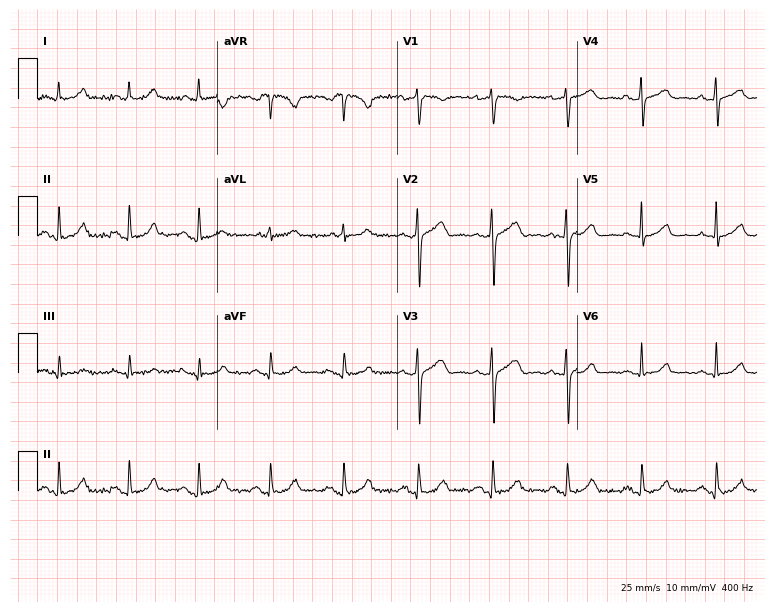
12-lead ECG (7.3-second recording at 400 Hz) from a 43-year-old female patient. Labelled as a normal ECG.